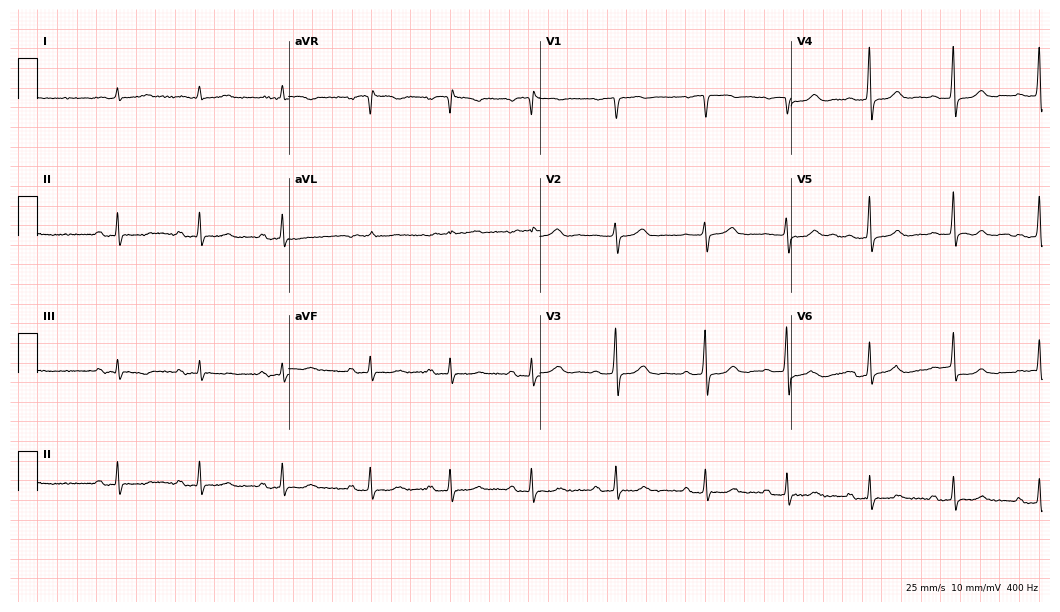
Resting 12-lead electrocardiogram (10.2-second recording at 400 Hz). Patient: an 83-year-old woman. None of these six findings is recorded: first-degree AV block, right bundle branch block, left bundle branch block, sinus bradycardia, atrial fibrillation, sinus tachycardia. Findings outside these six are not listed.